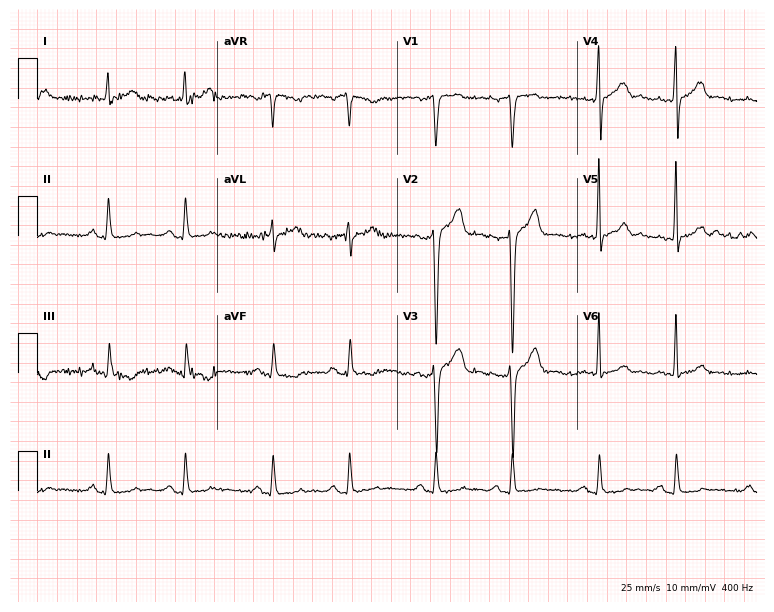
Electrocardiogram (7.3-second recording at 400 Hz), a 61-year-old male patient. Overall reading on record: normal ECG.